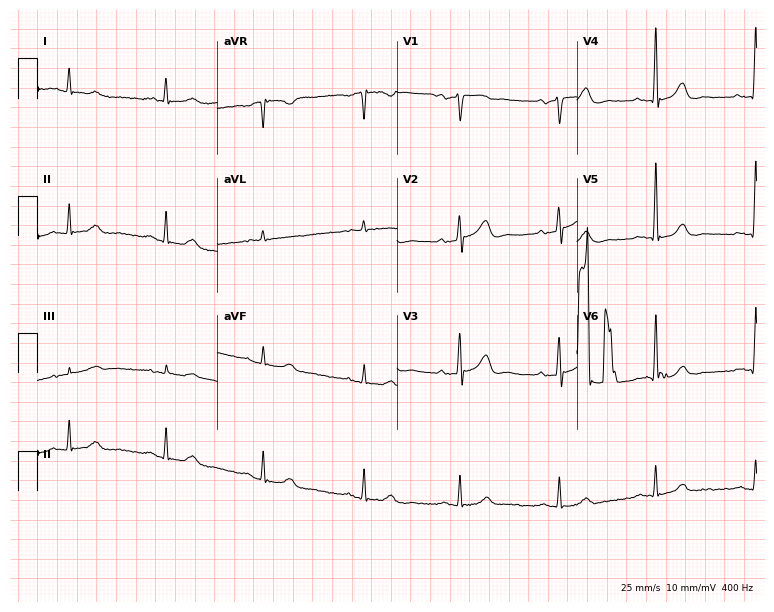
ECG (7.3-second recording at 400 Hz) — a male, 72 years old. Screened for six findings — first-degree AV block, right bundle branch block (RBBB), left bundle branch block (LBBB), sinus bradycardia, atrial fibrillation (AF), sinus tachycardia — none is recorded. Findings outside these six are not listed.